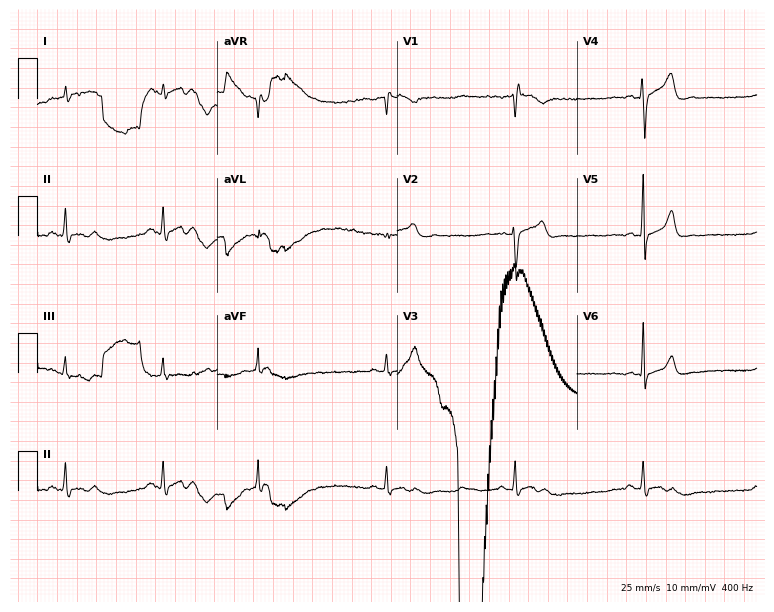
12-lead ECG from a male, 46 years old (7.3-second recording at 400 Hz). No first-degree AV block, right bundle branch block (RBBB), left bundle branch block (LBBB), sinus bradycardia, atrial fibrillation (AF) or sinus tachycardia recorded for this tracing. Findings outside these six are not listed.